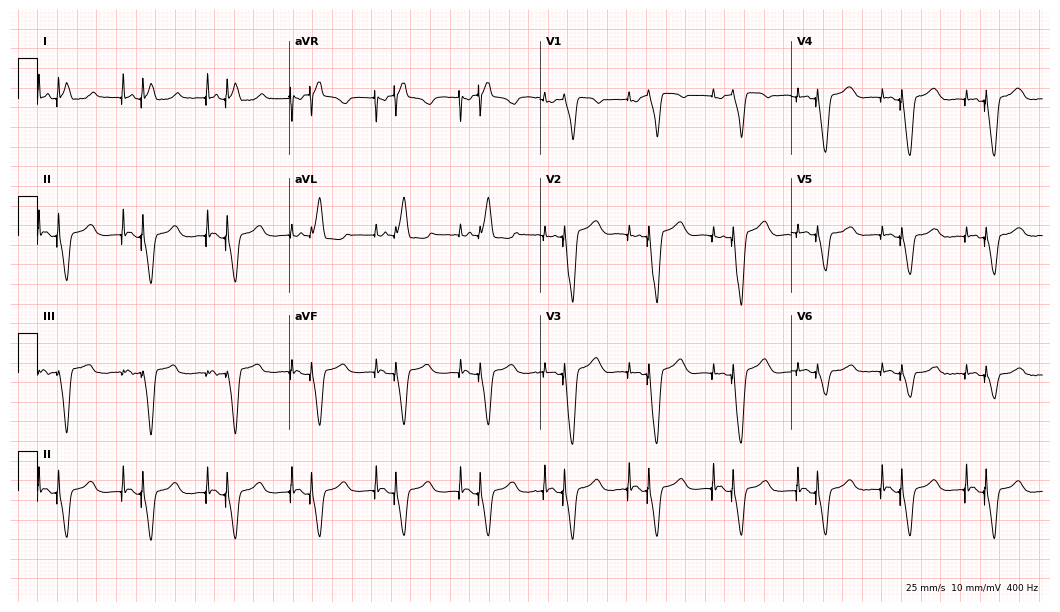
Standard 12-lead ECG recorded from a male, 51 years old (10.2-second recording at 400 Hz). None of these six findings is recorded: first-degree AV block, right bundle branch block, left bundle branch block, sinus bradycardia, atrial fibrillation, sinus tachycardia.